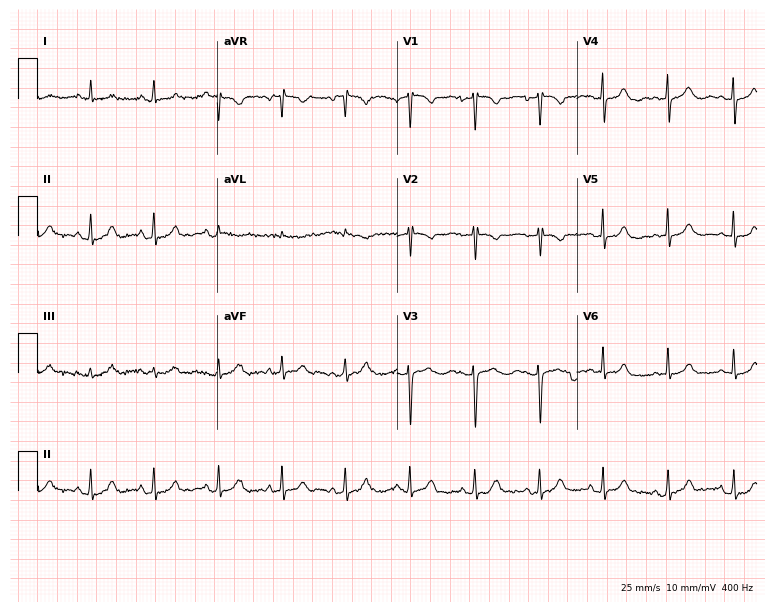
12-lead ECG from a 28-year-old female. Labelled as a normal ECG.